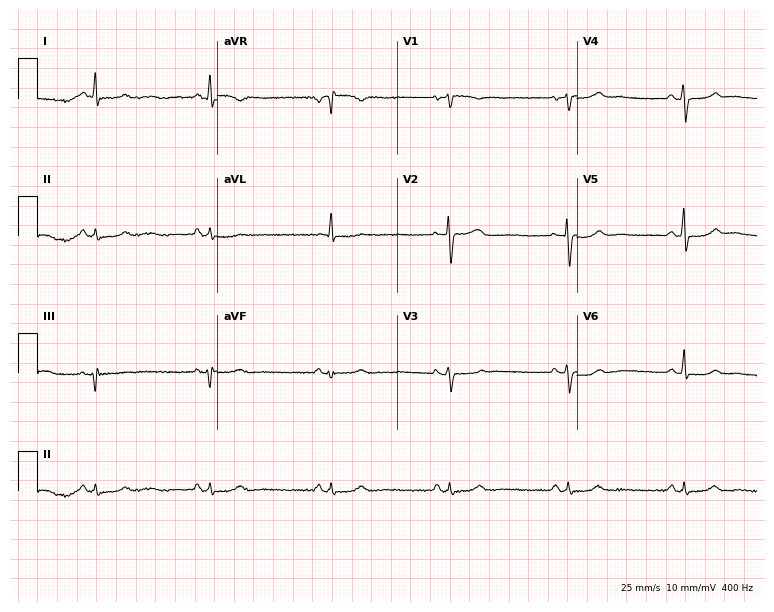
12-lead ECG from a female, 41 years old. Recorded interpretation: within normal limits.